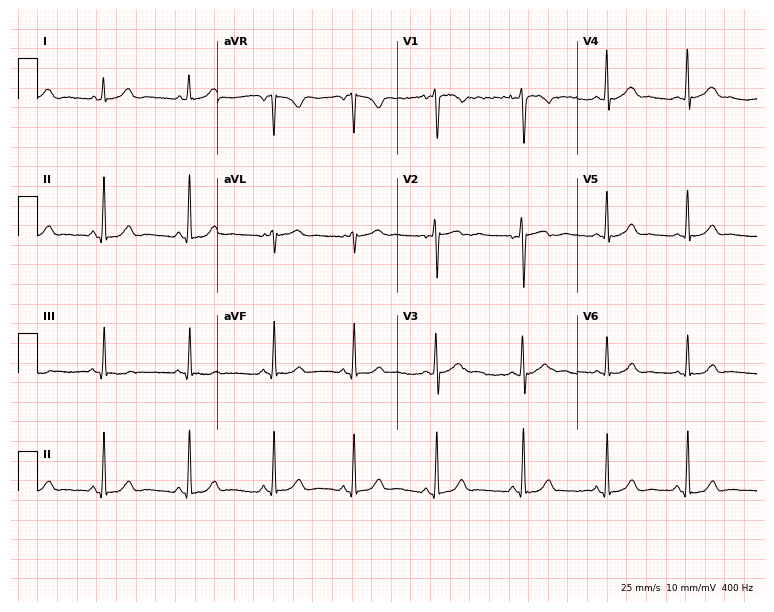
ECG — a woman, 17 years old. Screened for six findings — first-degree AV block, right bundle branch block, left bundle branch block, sinus bradycardia, atrial fibrillation, sinus tachycardia — none is recorded.